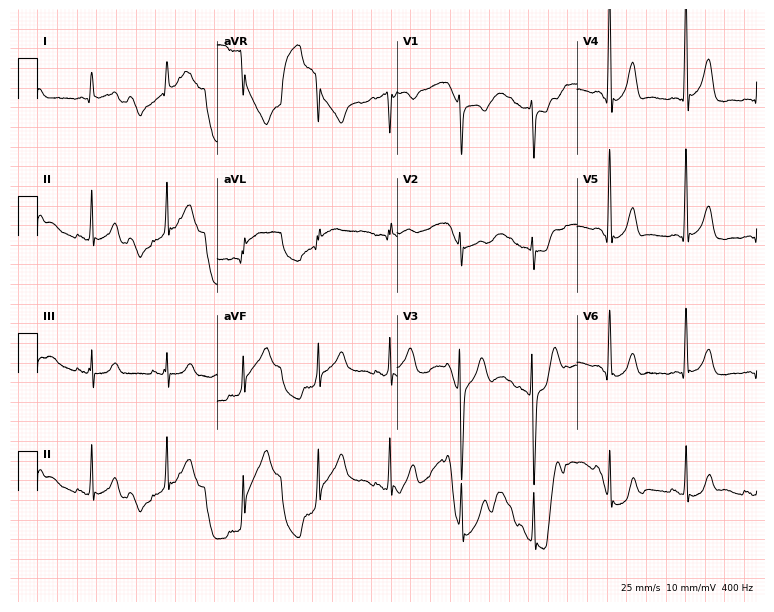
12-lead ECG from a 34-year-old male patient. Labelled as a normal ECG.